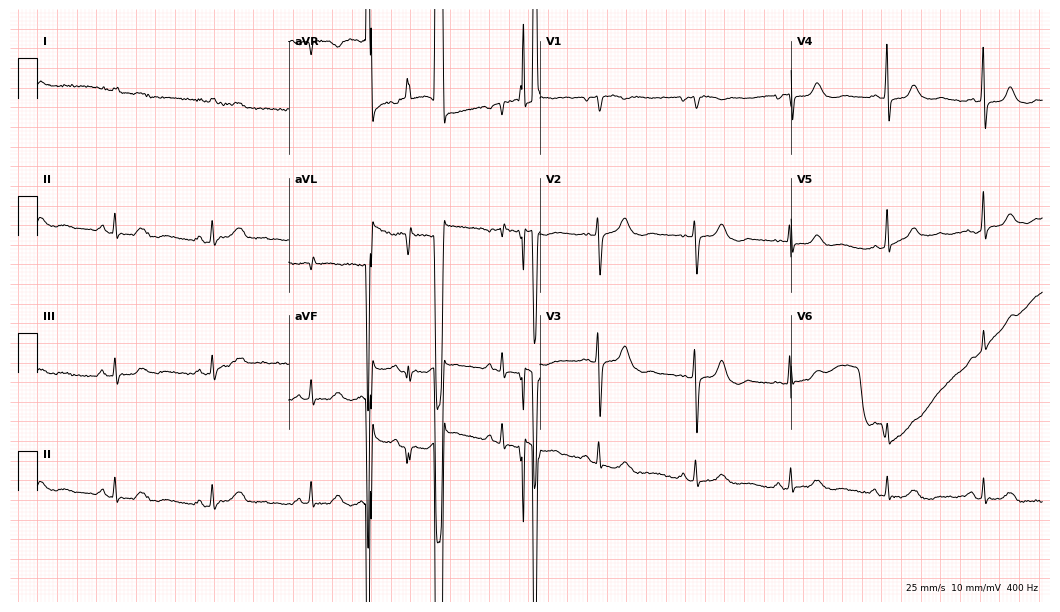
ECG — a female, 71 years old. Screened for six findings — first-degree AV block, right bundle branch block, left bundle branch block, sinus bradycardia, atrial fibrillation, sinus tachycardia — none is recorded. Only these six findings were labelled.